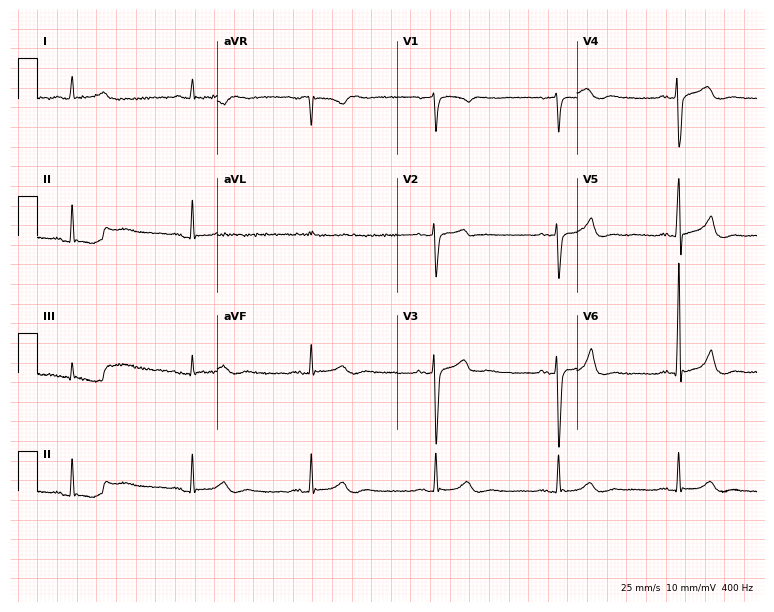
ECG (7.3-second recording at 400 Hz) — a 49-year-old female patient. Screened for six findings — first-degree AV block, right bundle branch block, left bundle branch block, sinus bradycardia, atrial fibrillation, sinus tachycardia — none is recorded.